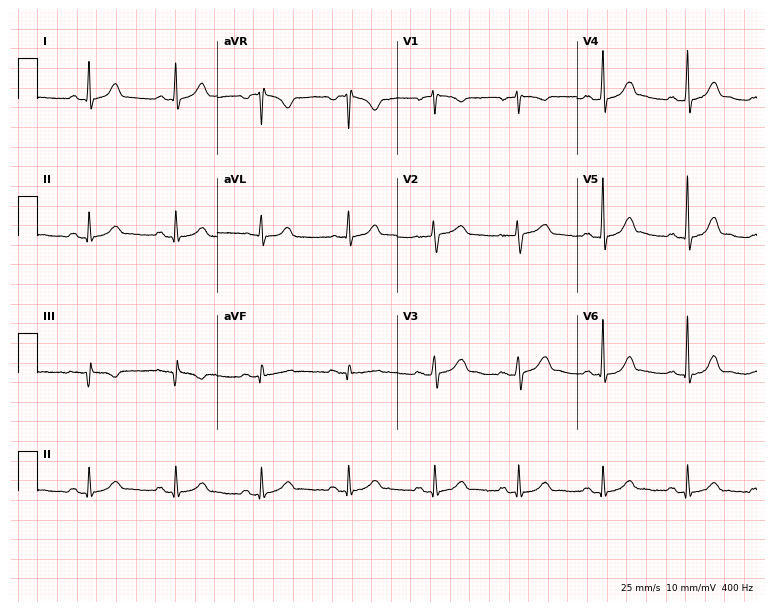
Resting 12-lead electrocardiogram. Patient: a 42-year-old woman. Read as a normal ECG.